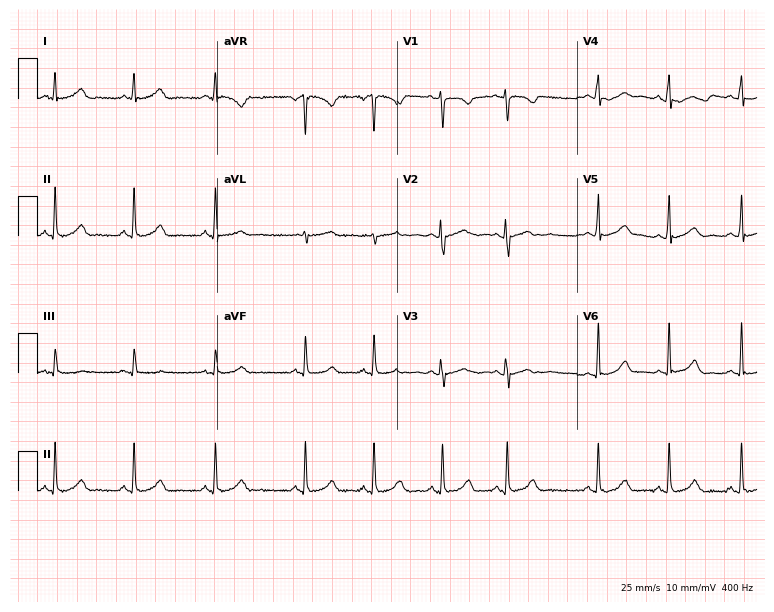
12-lead ECG from a woman, 19 years old (7.3-second recording at 400 Hz). Recorded interpretation: within normal limits.